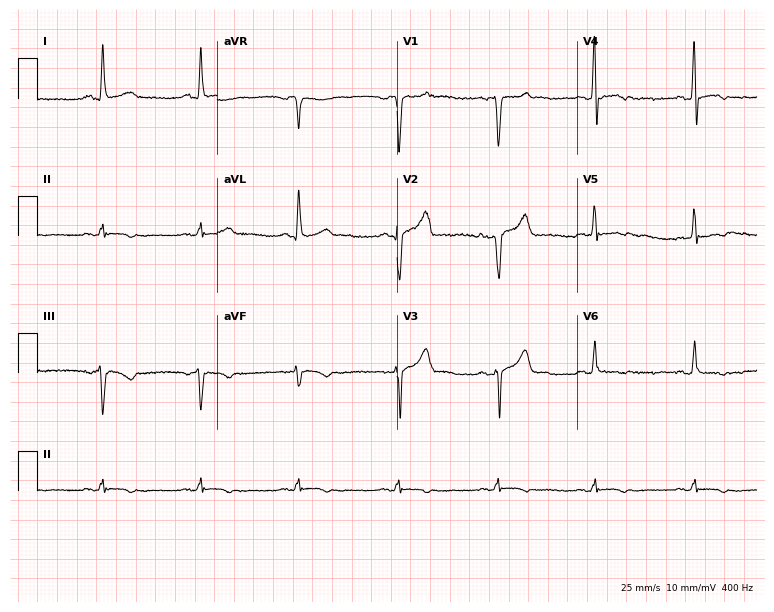
Standard 12-lead ECG recorded from a 59-year-old male patient. None of these six findings is recorded: first-degree AV block, right bundle branch block, left bundle branch block, sinus bradycardia, atrial fibrillation, sinus tachycardia.